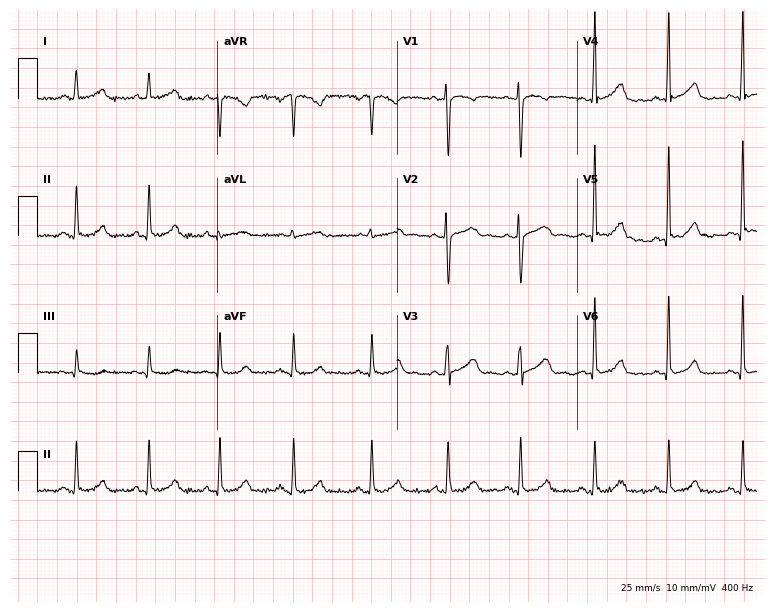
12-lead ECG from a female patient, 31 years old. No first-degree AV block, right bundle branch block, left bundle branch block, sinus bradycardia, atrial fibrillation or sinus tachycardia recorded for this tracing.